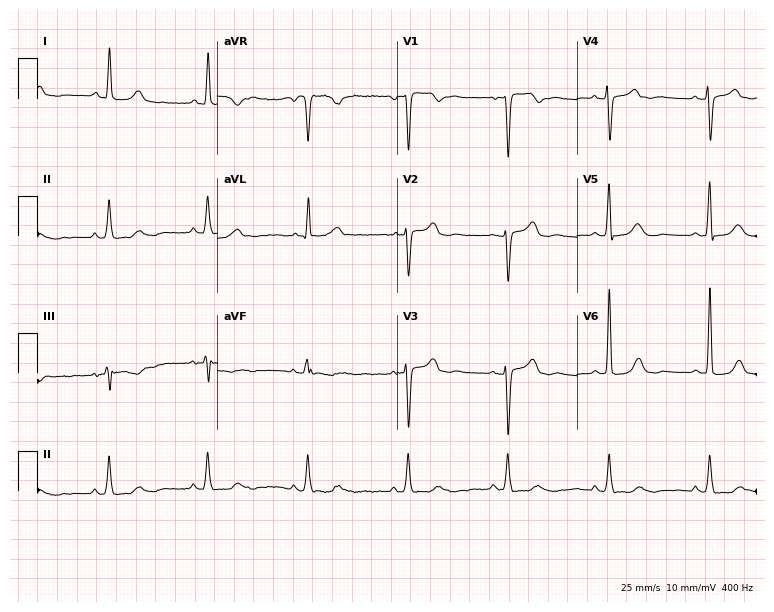
Electrocardiogram (7.3-second recording at 400 Hz), a woman, 78 years old. Of the six screened findings (first-degree AV block, right bundle branch block (RBBB), left bundle branch block (LBBB), sinus bradycardia, atrial fibrillation (AF), sinus tachycardia), none is recorded.